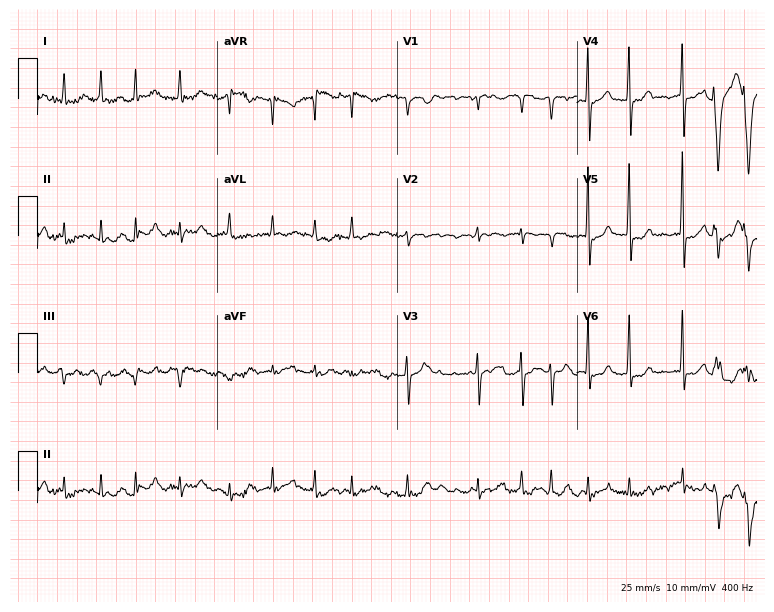
ECG (7.3-second recording at 400 Hz) — a male patient, 84 years old. Screened for six findings — first-degree AV block, right bundle branch block, left bundle branch block, sinus bradycardia, atrial fibrillation, sinus tachycardia — none is recorded.